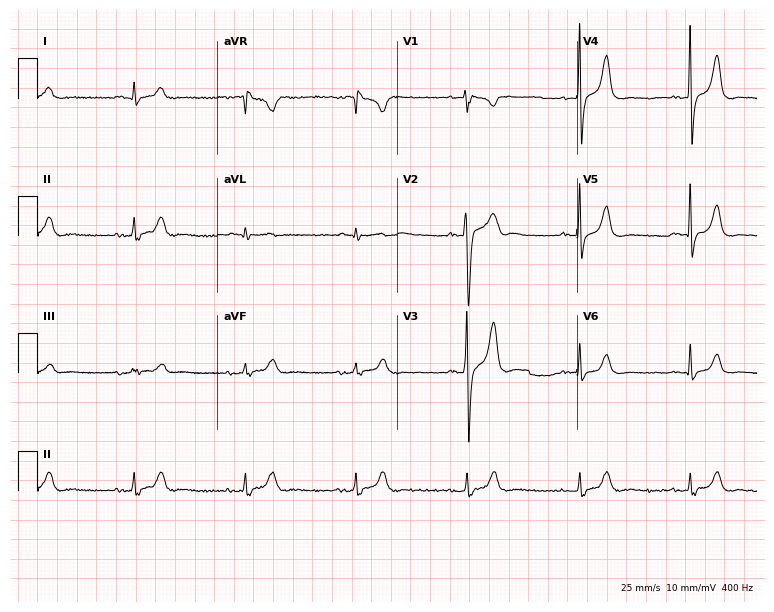
Standard 12-lead ECG recorded from a man, 54 years old (7.3-second recording at 400 Hz). Read as a normal ECG.